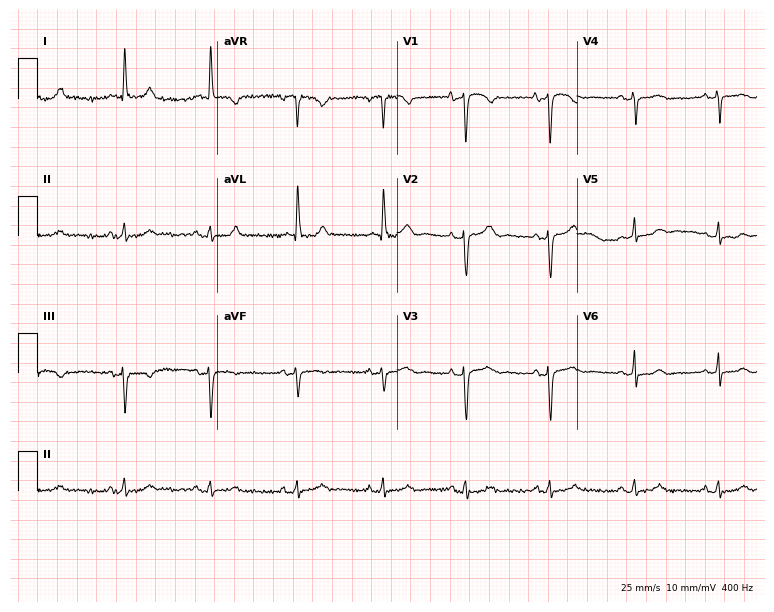
Electrocardiogram (7.3-second recording at 400 Hz), a female, 84 years old. Of the six screened findings (first-degree AV block, right bundle branch block, left bundle branch block, sinus bradycardia, atrial fibrillation, sinus tachycardia), none is recorded.